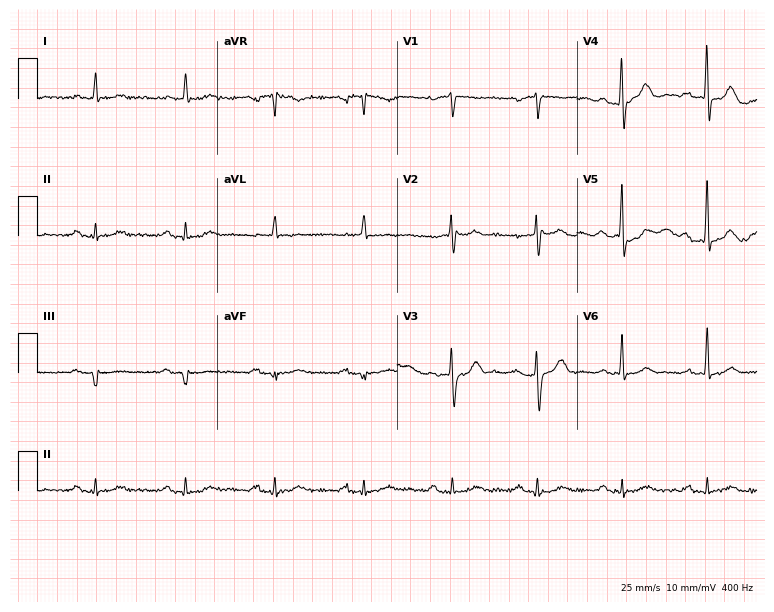
12-lead ECG from a male, 76 years old. Screened for six findings — first-degree AV block, right bundle branch block, left bundle branch block, sinus bradycardia, atrial fibrillation, sinus tachycardia — none is recorded. Only these six findings were labelled.